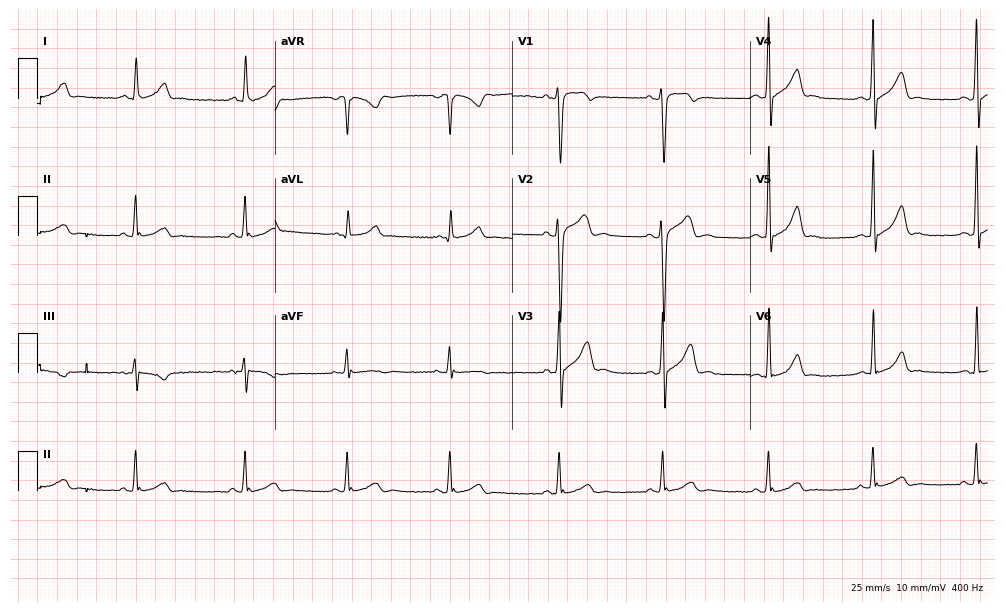
Resting 12-lead electrocardiogram (9.7-second recording at 400 Hz). Patient: a 35-year-old male. Read as a normal ECG.